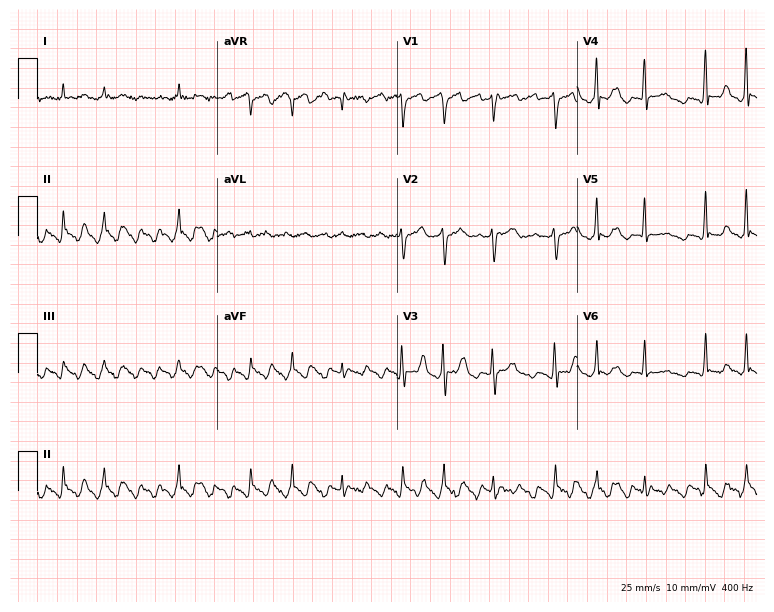
Resting 12-lead electrocardiogram. Patient: a man, 72 years old. None of these six findings is recorded: first-degree AV block, right bundle branch block, left bundle branch block, sinus bradycardia, atrial fibrillation, sinus tachycardia. Findings outside these six are not listed.